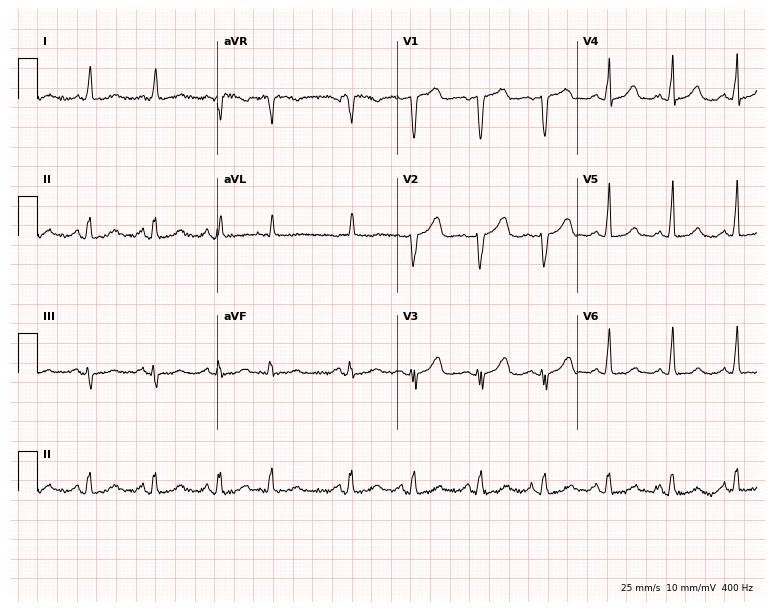
ECG — a woman, 83 years old. Screened for six findings — first-degree AV block, right bundle branch block, left bundle branch block, sinus bradycardia, atrial fibrillation, sinus tachycardia — none is recorded. Other findings, if any, are not listed.